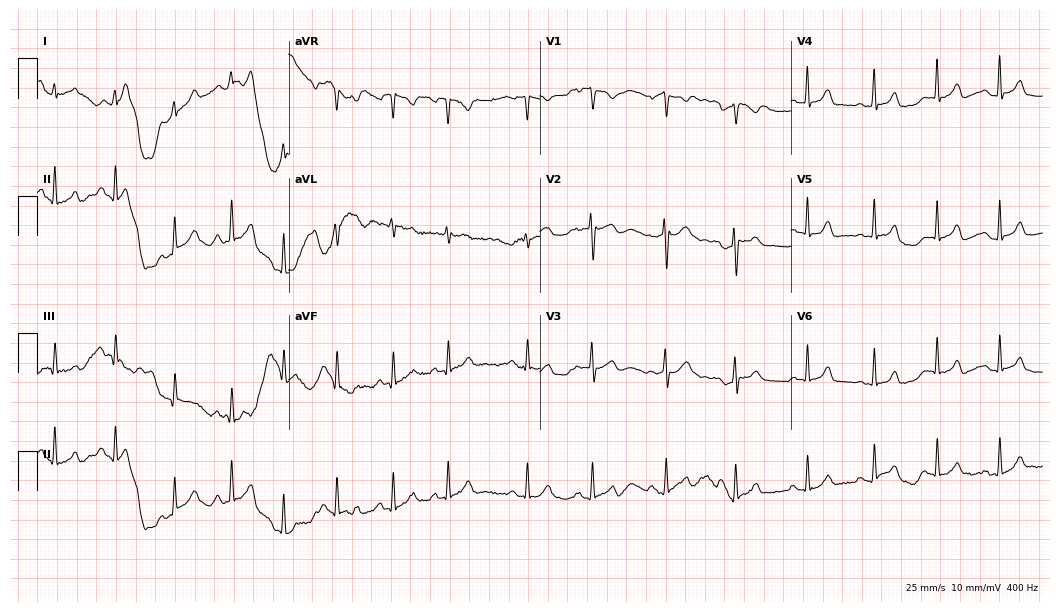
Electrocardiogram, a woman, 25 years old. Overall reading on record: normal ECG.